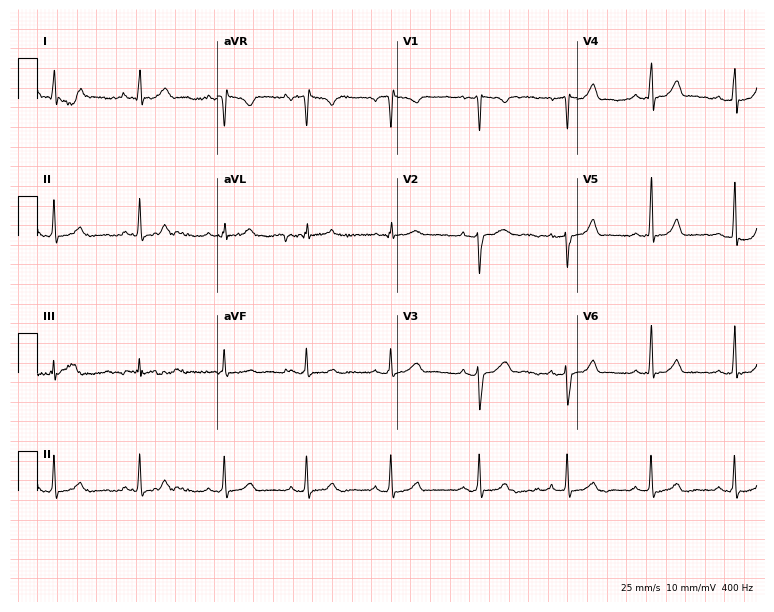
Standard 12-lead ECG recorded from a woman, 24 years old. Read as a normal ECG.